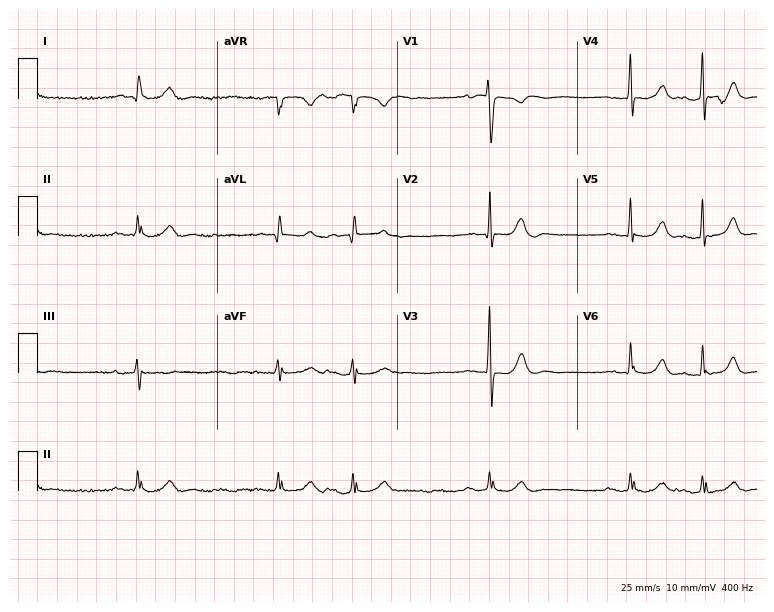
ECG — a male, 85 years old. Screened for six findings — first-degree AV block, right bundle branch block (RBBB), left bundle branch block (LBBB), sinus bradycardia, atrial fibrillation (AF), sinus tachycardia — none is recorded.